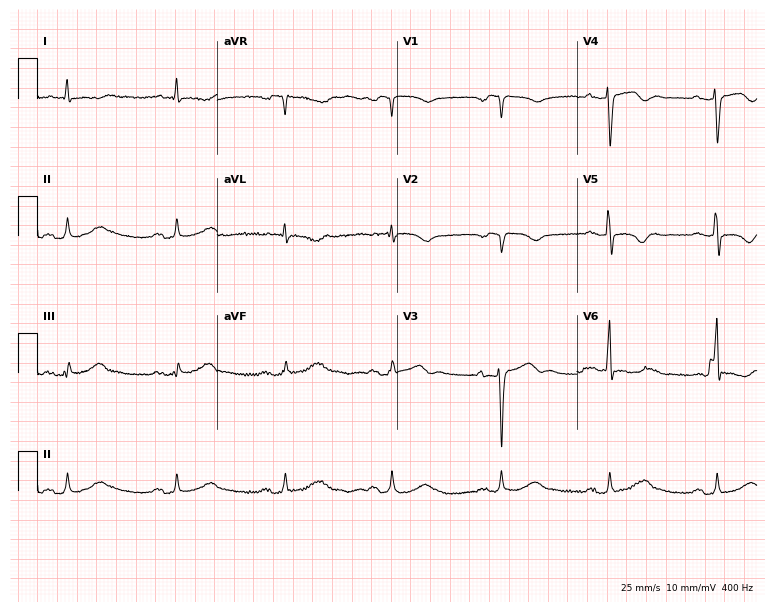
Electrocardiogram (7.3-second recording at 400 Hz), a man, 73 years old. Of the six screened findings (first-degree AV block, right bundle branch block, left bundle branch block, sinus bradycardia, atrial fibrillation, sinus tachycardia), none is recorded.